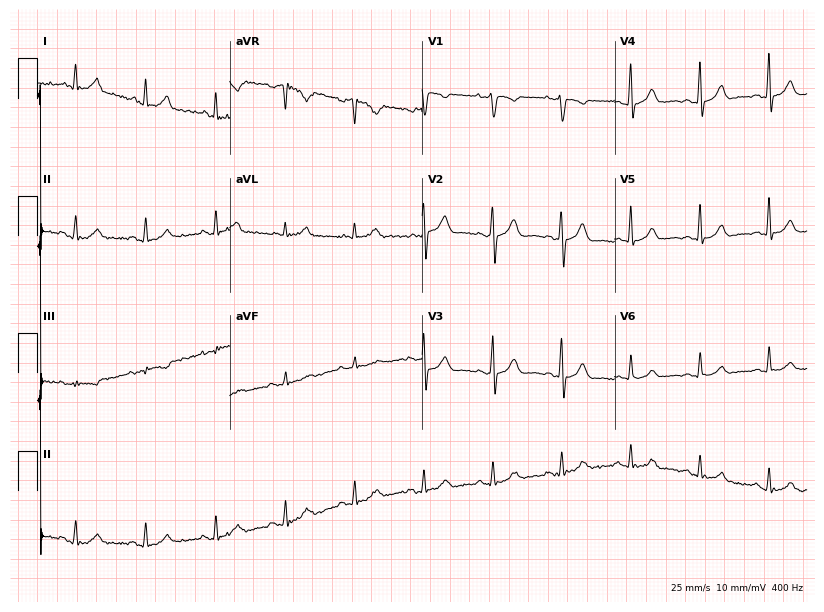
Electrocardiogram, a female patient, 45 years old. Overall reading on record: normal ECG.